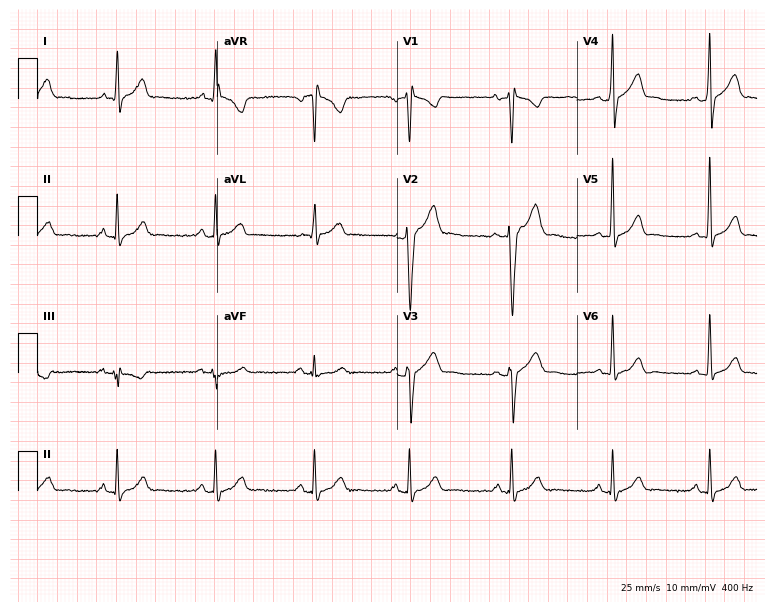
12-lead ECG (7.3-second recording at 400 Hz) from a 27-year-old male. Labelled as a normal ECG.